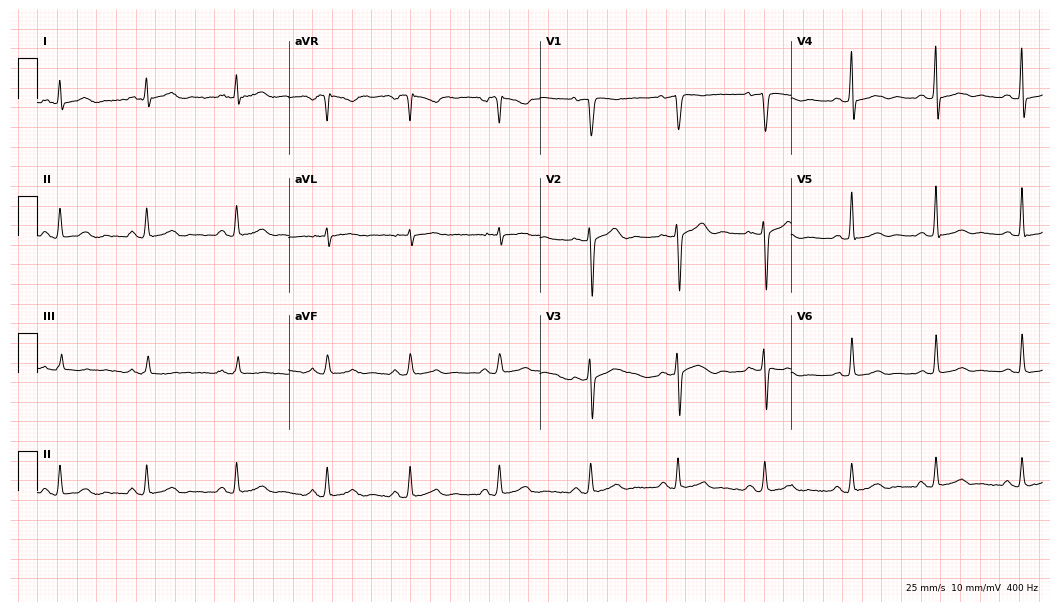
Standard 12-lead ECG recorded from a man, 47 years old (10.2-second recording at 400 Hz). None of these six findings is recorded: first-degree AV block, right bundle branch block, left bundle branch block, sinus bradycardia, atrial fibrillation, sinus tachycardia. Findings outside these six are not listed.